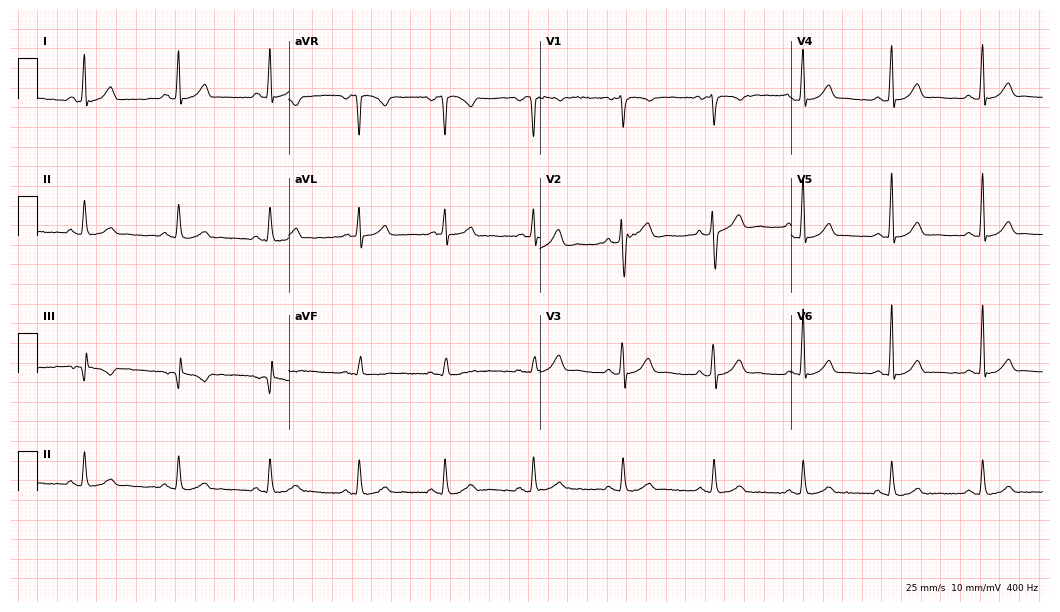
Standard 12-lead ECG recorded from a 48-year-old male. Read as a normal ECG.